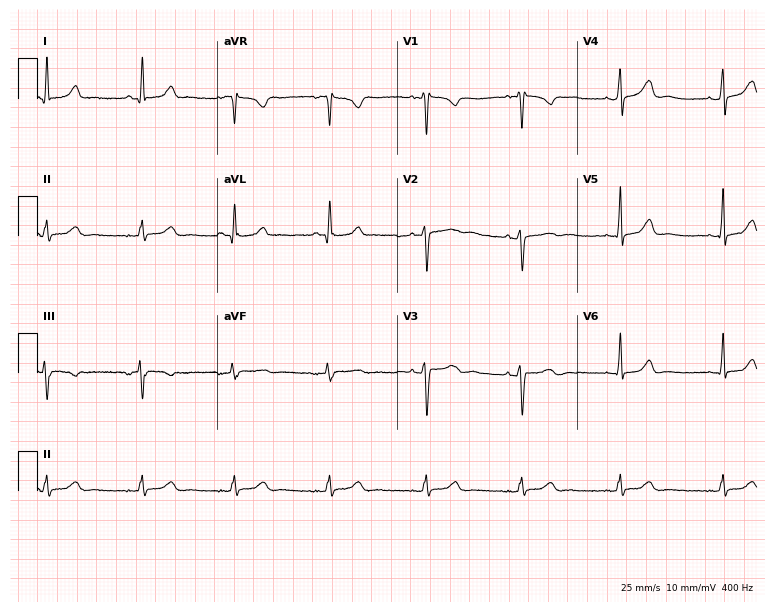
ECG — a female patient, 50 years old. Labelled as a normal ECG.